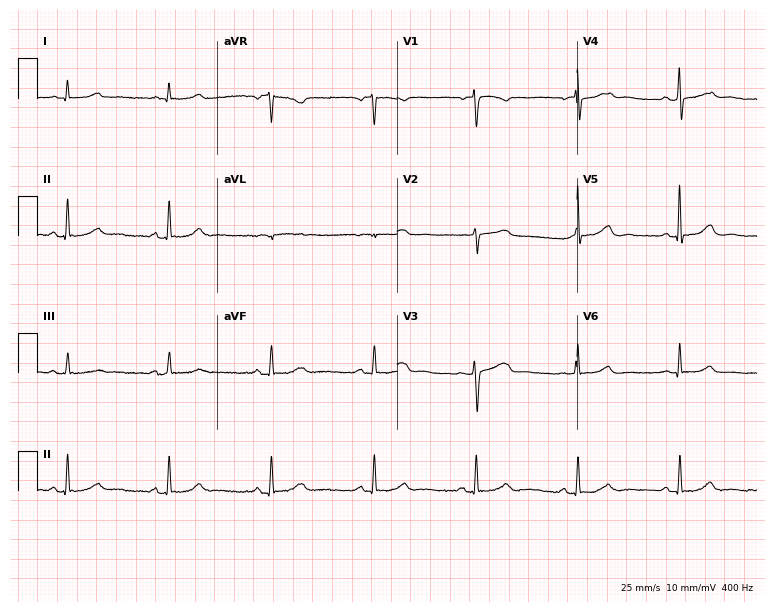
Resting 12-lead electrocardiogram (7.3-second recording at 400 Hz). Patient: a 55-year-old female. Read as a normal ECG.